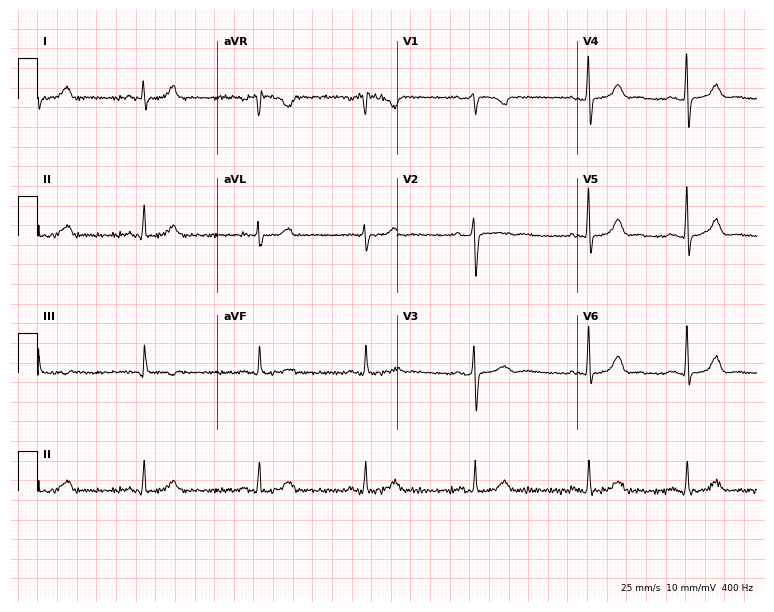
Resting 12-lead electrocardiogram (7.3-second recording at 400 Hz). Patient: a female, 29 years old. None of these six findings is recorded: first-degree AV block, right bundle branch block, left bundle branch block, sinus bradycardia, atrial fibrillation, sinus tachycardia.